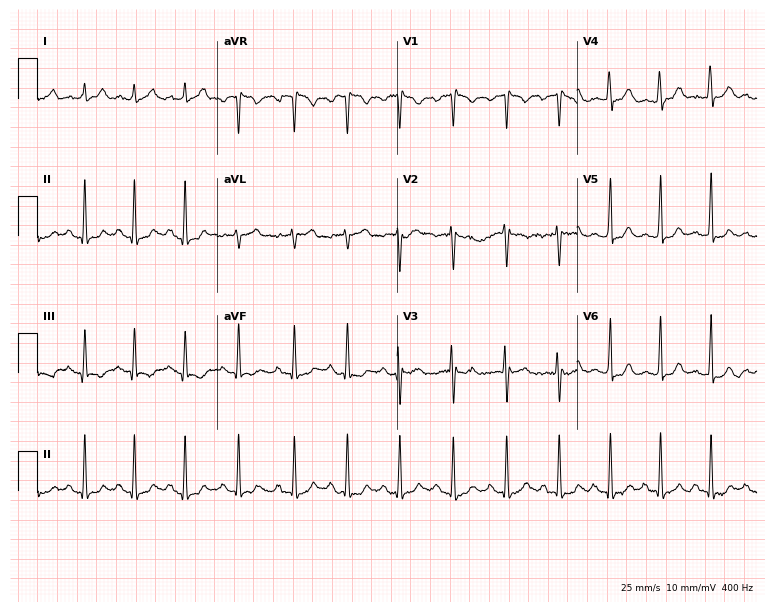
ECG — a female patient, 23 years old. Screened for six findings — first-degree AV block, right bundle branch block (RBBB), left bundle branch block (LBBB), sinus bradycardia, atrial fibrillation (AF), sinus tachycardia — none is recorded. Other findings, if any, are not listed.